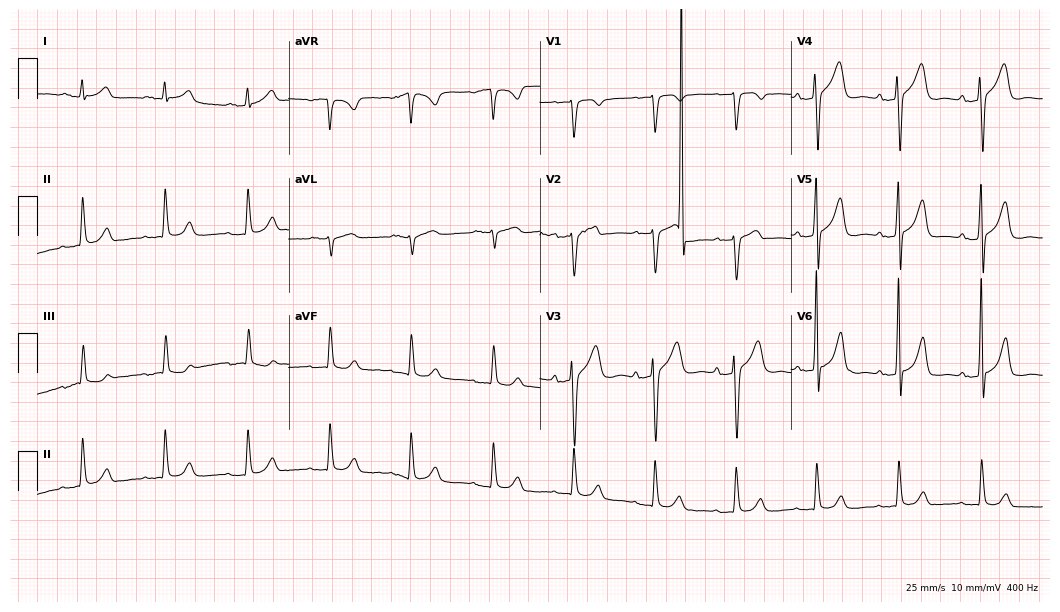
Electrocardiogram, a male patient, 71 years old. Overall reading on record: normal ECG.